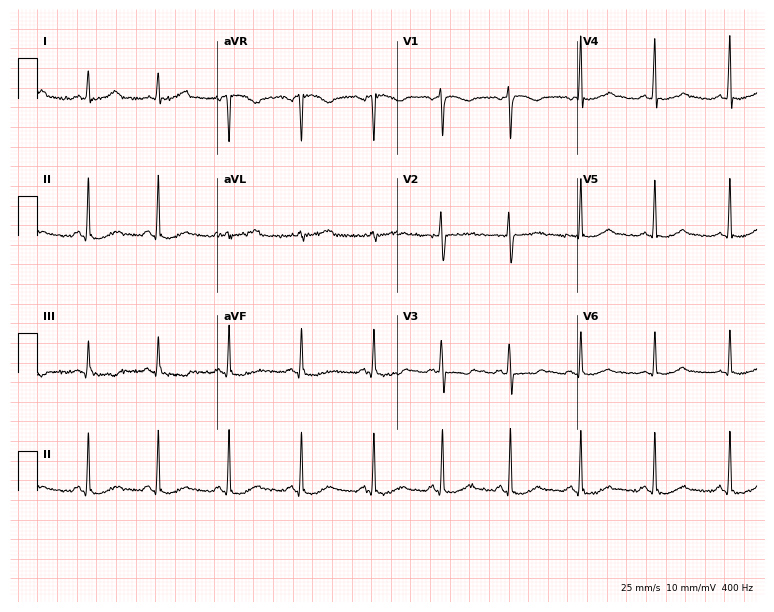
Resting 12-lead electrocardiogram (7.3-second recording at 400 Hz). Patient: a 42-year-old female. None of these six findings is recorded: first-degree AV block, right bundle branch block, left bundle branch block, sinus bradycardia, atrial fibrillation, sinus tachycardia. Other findings, if any, are not listed.